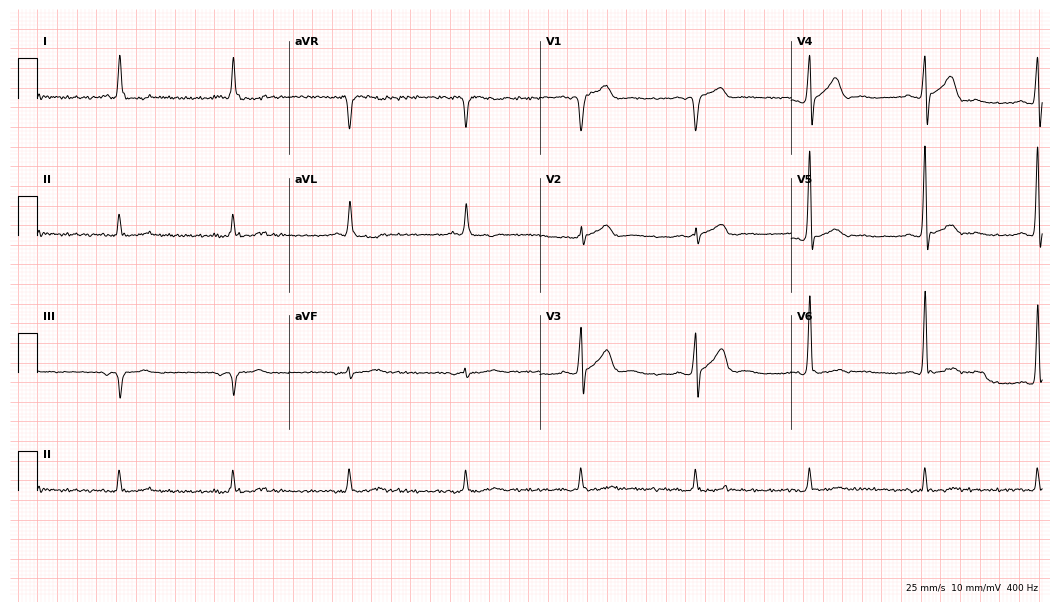
Standard 12-lead ECG recorded from a male, 63 years old (10.2-second recording at 400 Hz). None of these six findings is recorded: first-degree AV block, right bundle branch block (RBBB), left bundle branch block (LBBB), sinus bradycardia, atrial fibrillation (AF), sinus tachycardia. Findings outside these six are not listed.